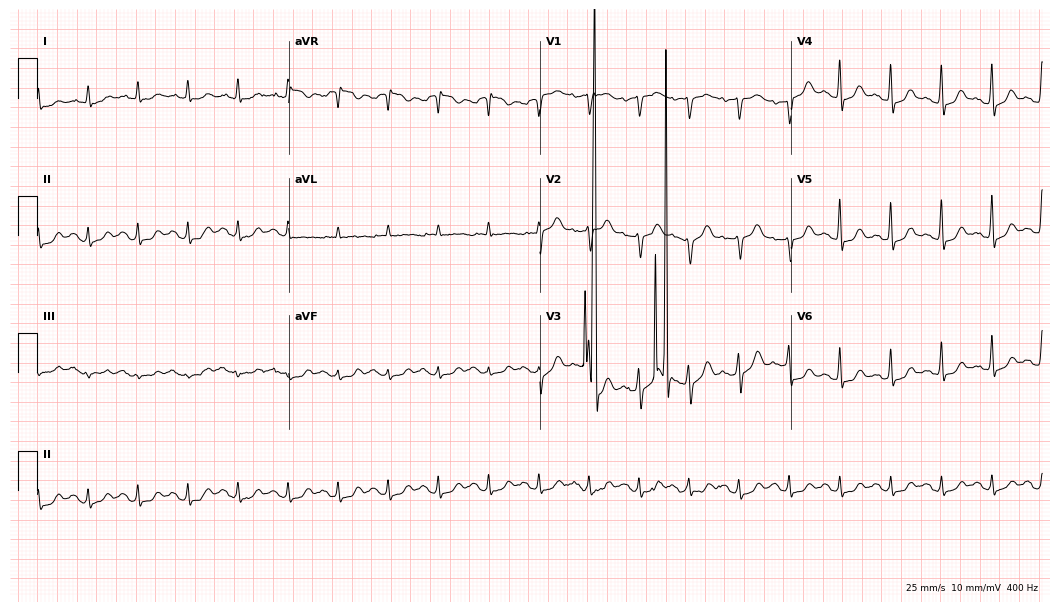
ECG — a male, 82 years old. Findings include sinus tachycardia (a sinus rate of 100 beats per minute or more).